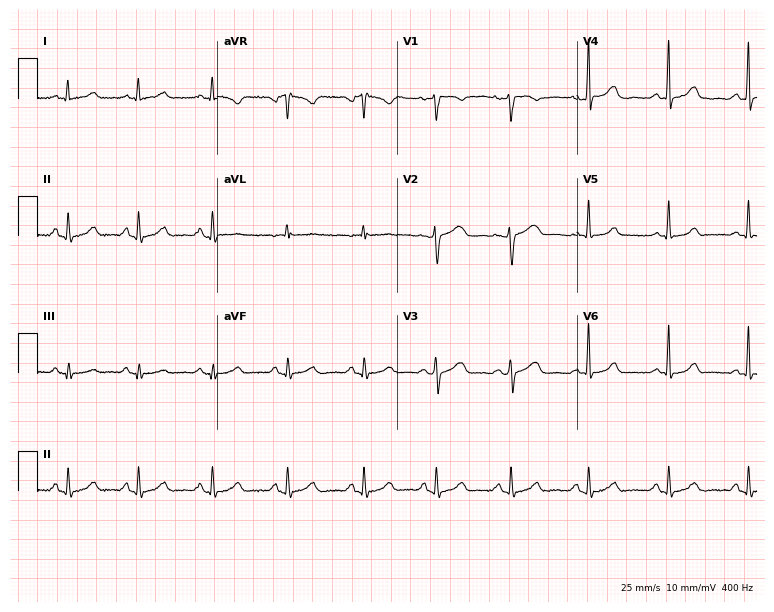
12-lead ECG (7.3-second recording at 400 Hz) from a female patient, 36 years old. Screened for six findings — first-degree AV block, right bundle branch block (RBBB), left bundle branch block (LBBB), sinus bradycardia, atrial fibrillation (AF), sinus tachycardia — none is recorded. Only these six findings were labelled.